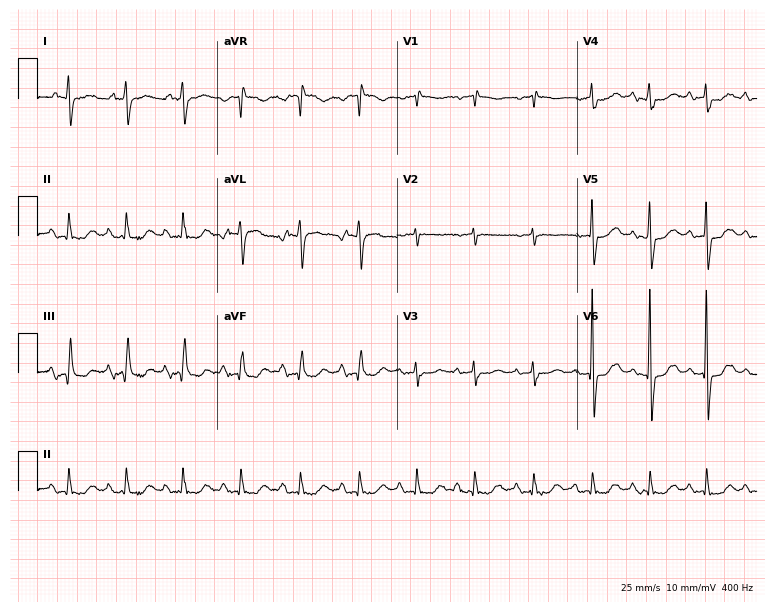
ECG (7.3-second recording at 400 Hz) — a 78-year-old female patient. Screened for six findings — first-degree AV block, right bundle branch block, left bundle branch block, sinus bradycardia, atrial fibrillation, sinus tachycardia — none is recorded. Only these six findings were labelled.